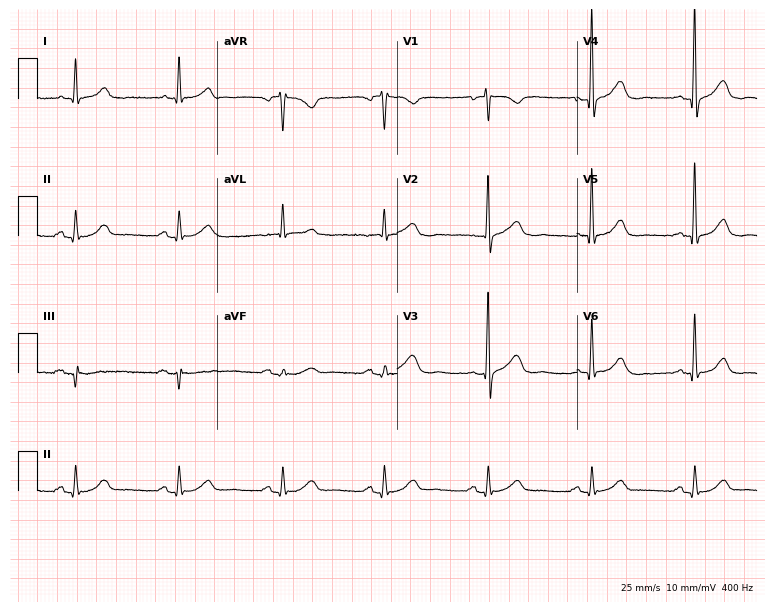
12-lead ECG from a 78-year-old man. No first-degree AV block, right bundle branch block (RBBB), left bundle branch block (LBBB), sinus bradycardia, atrial fibrillation (AF) or sinus tachycardia recorded for this tracing. Only these six findings were labelled.